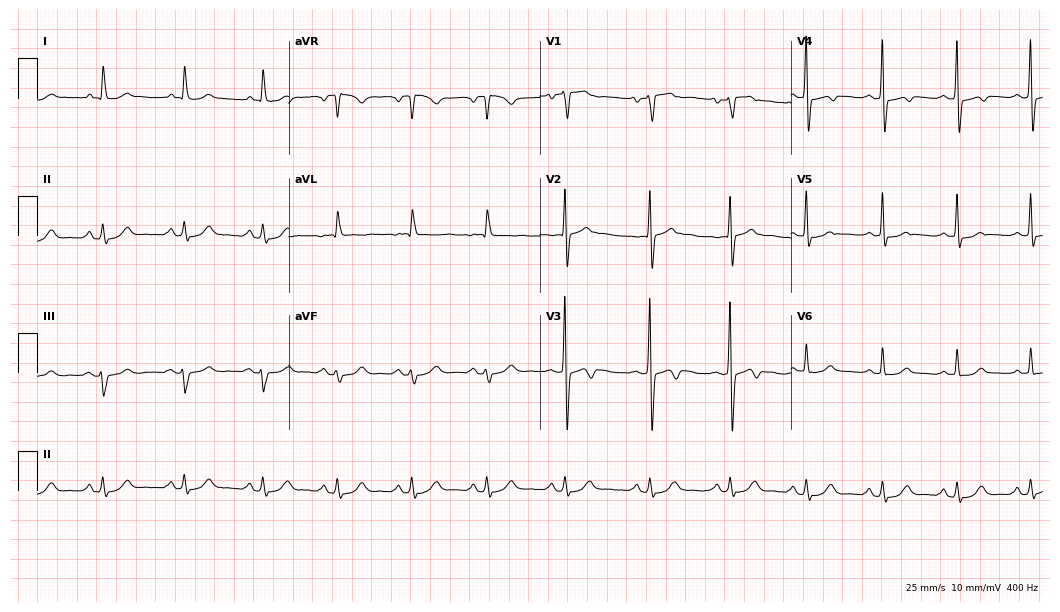
12-lead ECG from a 53-year-old male. No first-degree AV block, right bundle branch block, left bundle branch block, sinus bradycardia, atrial fibrillation or sinus tachycardia recorded for this tracing.